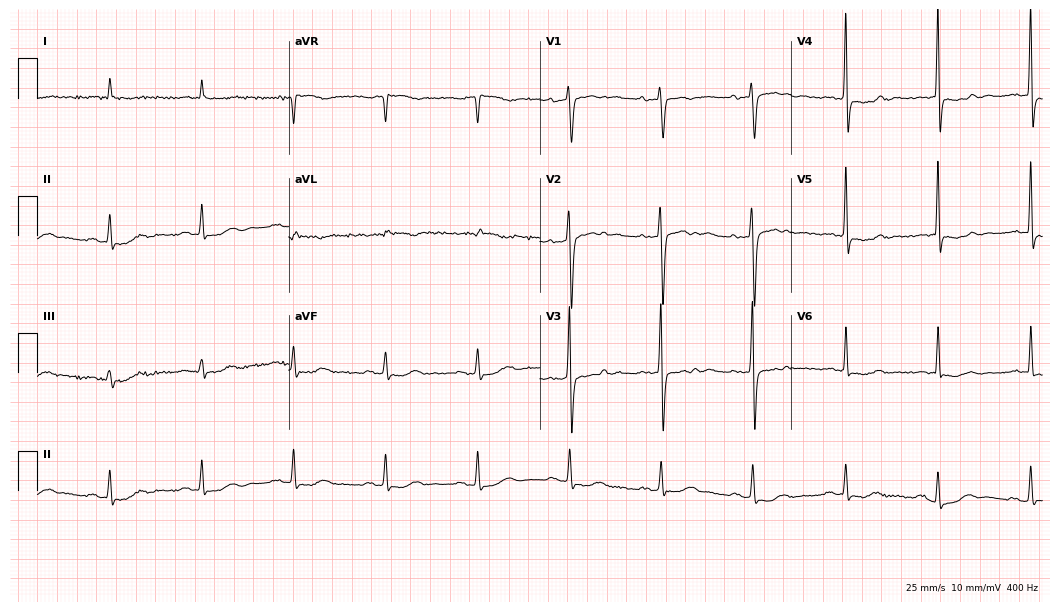
ECG — an 81-year-old man. Screened for six findings — first-degree AV block, right bundle branch block, left bundle branch block, sinus bradycardia, atrial fibrillation, sinus tachycardia — none is recorded. Other findings, if any, are not listed.